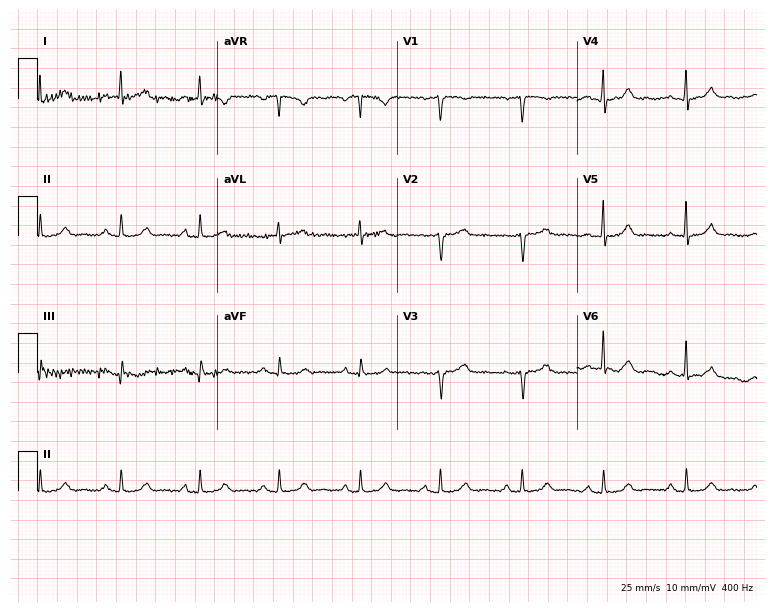
Standard 12-lead ECG recorded from a 45-year-old woman (7.3-second recording at 400 Hz). None of these six findings is recorded: first-degree AV block, right bundle branch block, left bundle branch block, sinus bradycardia, atrial fibrillation, sinus tachycardia.